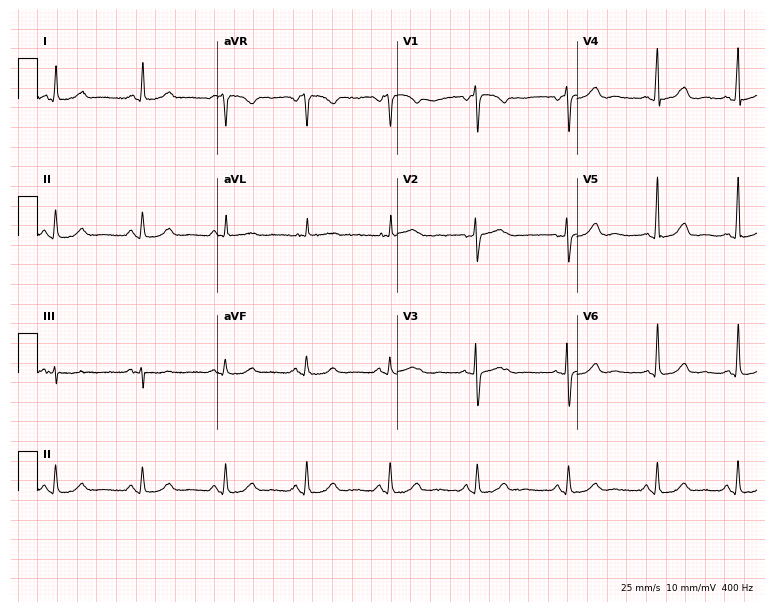
Electrocardiogram (7.3-second recording at 400 Hz), a 58-year-old female. Overall reading on record: normal ECG.